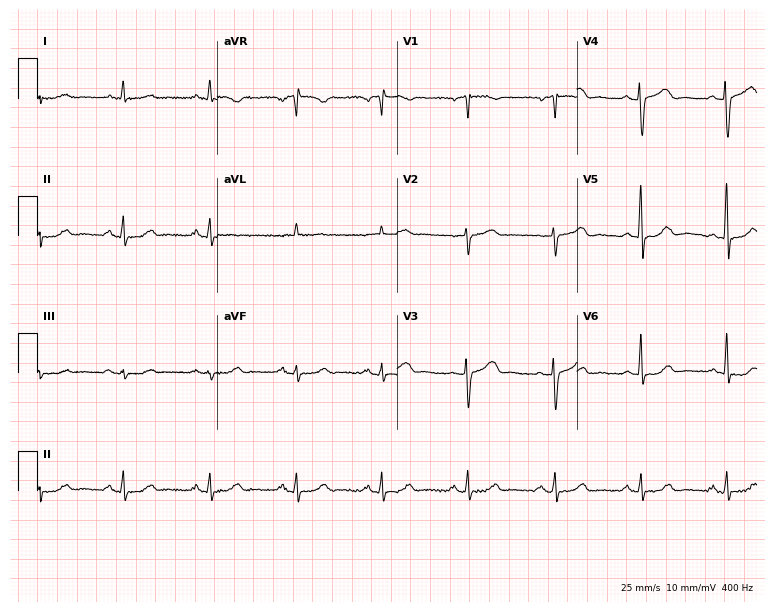
ECG — a 70-year-old woman. Screened for six findings — first-degree AV block, right bundle branch block (RBBB), left bundle branch block (LBBB), sinus bradycardia, atrial fibrillation (AF), sinus tachycardia — none is recorded. Only these six findings were labelled.